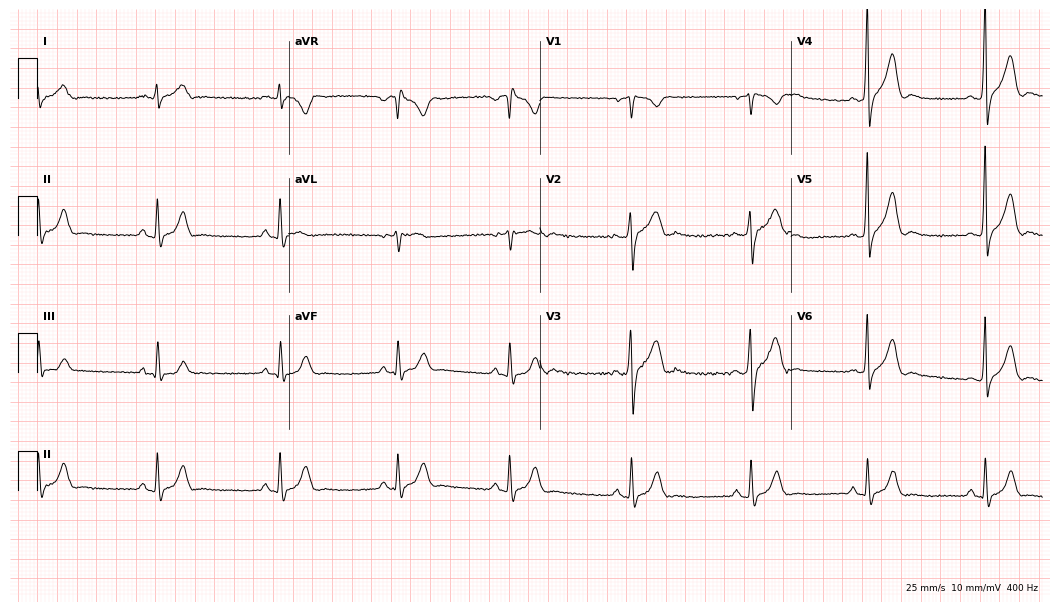
12-lead ECG (10.2-second recording at 400 Hz) from a man, 38 years old. Findings include sinus bradycardia (a sinus rate of 50 beats per minute or less).